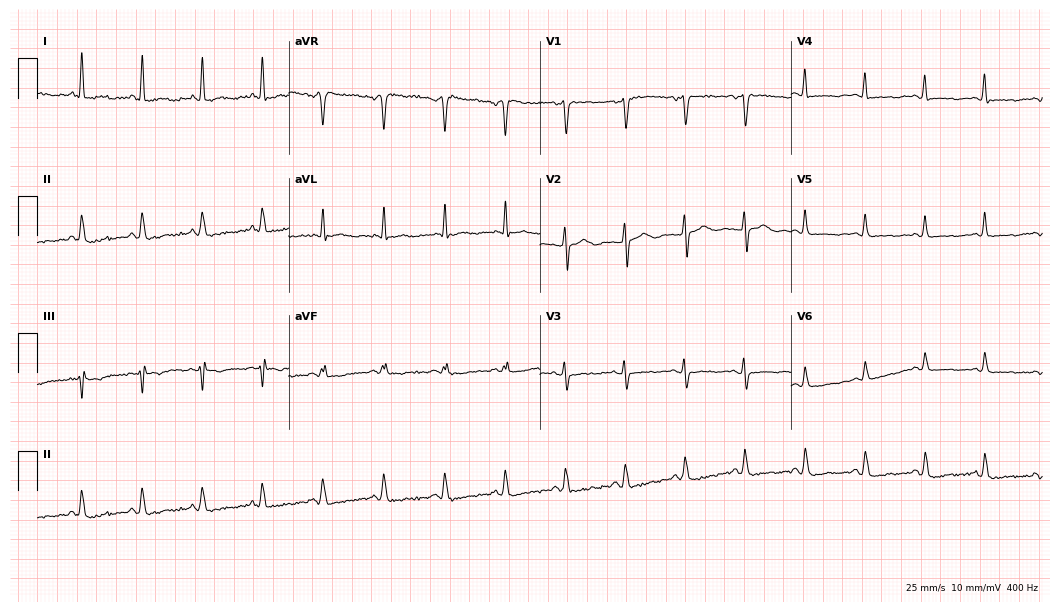
Electrocardiogram (10.2-second recording at 400 Hz), a female, 42 years old. Of the six screened findings (first-degree AV block, right bundle branch block, left bundle branch block, sinus bradycardia, atrial fibrillation, sinus tachycardia), none is recorded. Only these six findings were labelled.